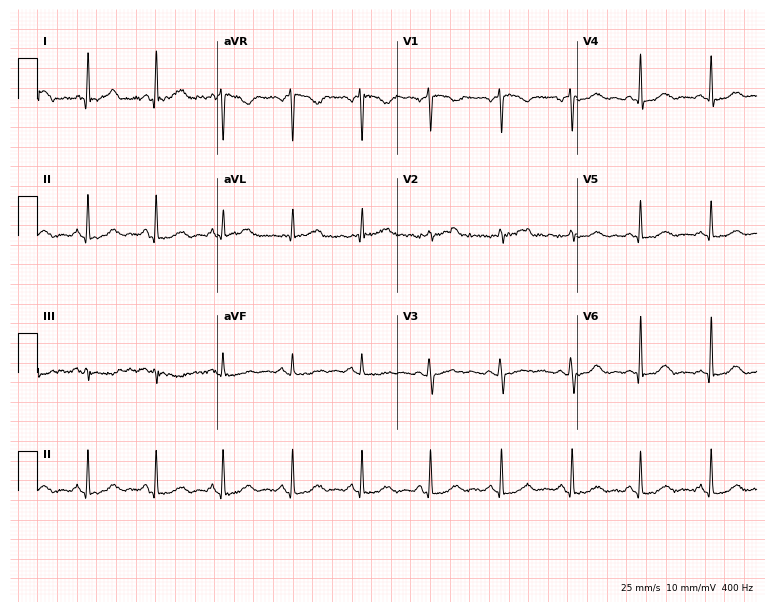
12-lead ECG from a 63-year-old woman. Screened for six findings — first-degree AV block, right bundle branch block (RBBB), left bundle branch block (LBBB), sinus bradycardia, atrial fibrillation (AF), sinus tachycardia — none is recorded.